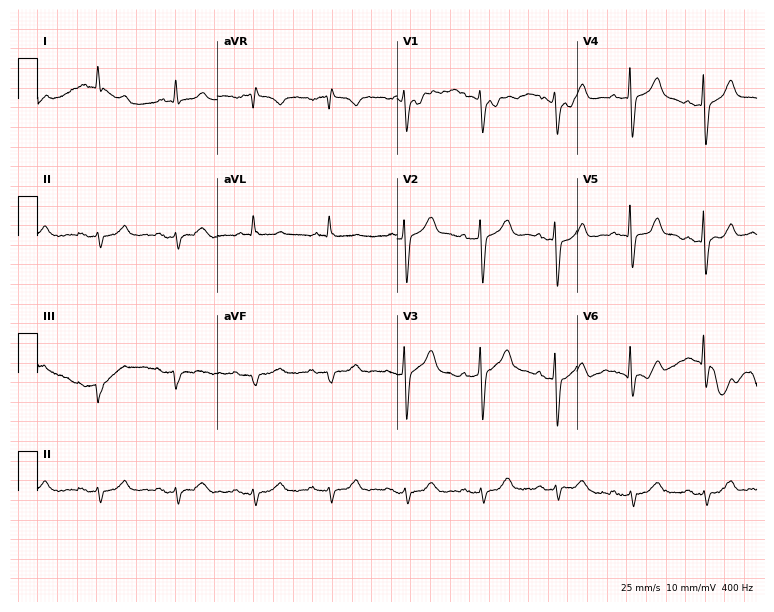
Electrocardiogram (7.3-second recording at 400 Hz), a male patient, 56 years old. Of the six screened findings (first-degree AV block, right bundle branch block, left bundle branch block, sinus bradycardia, atrial fibrillation, sinus tachycardia), none is recorded. Other findings, if any, are not listed.